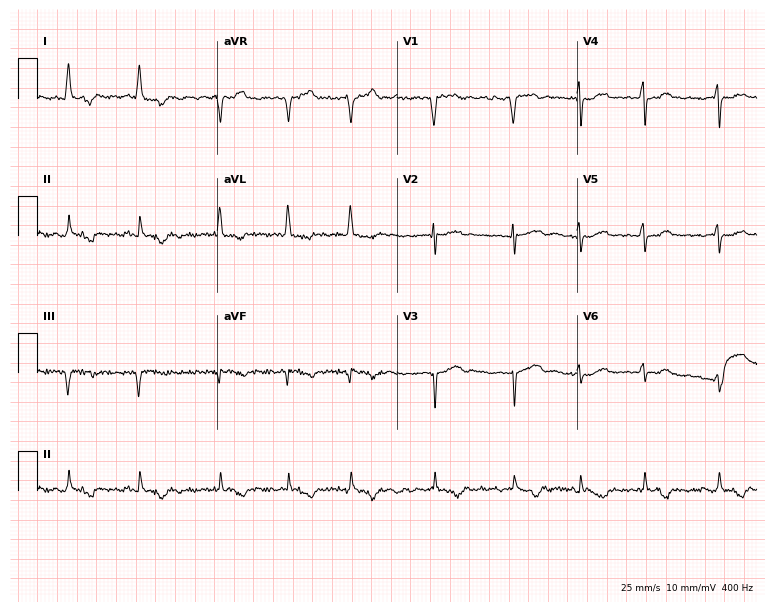
Electrocardiogram (7.3-second recording at 400 Hz), a 72-year-old man. Of the six screened findings (first-degree AV block, right bundle branch block (RBBB), left bundle branch block (LBBB), sinus bradycardia, atrial fibrillation (AF), sinus tachycardia), none is recorded.